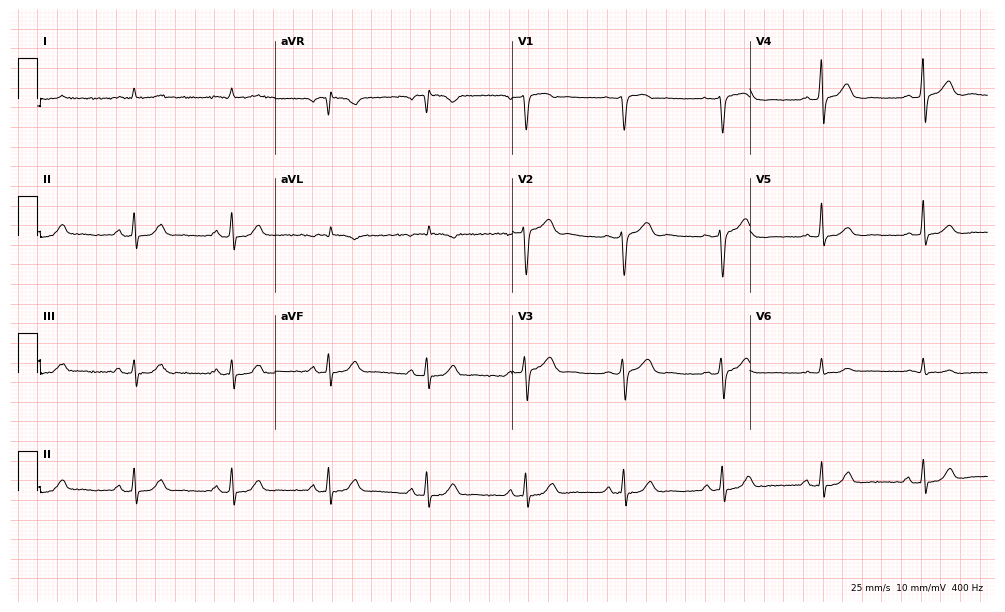
Standard 12-lead ECG recorded from a 63-year-old male. Read as a normal ECG.